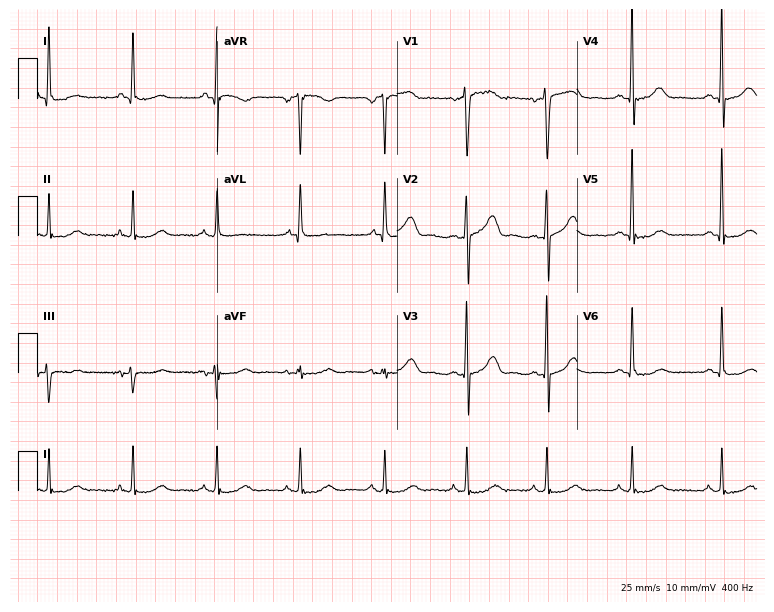
Standard 12-lead ECG recorded from a female, 67 years old. None of these six findings is recorded: first-degree AV block, right bundle branch block (RBBB), left bundle branch block (LBBB), sinus bradycardia, atrial fibrillation (AF), sinus tachycardia.